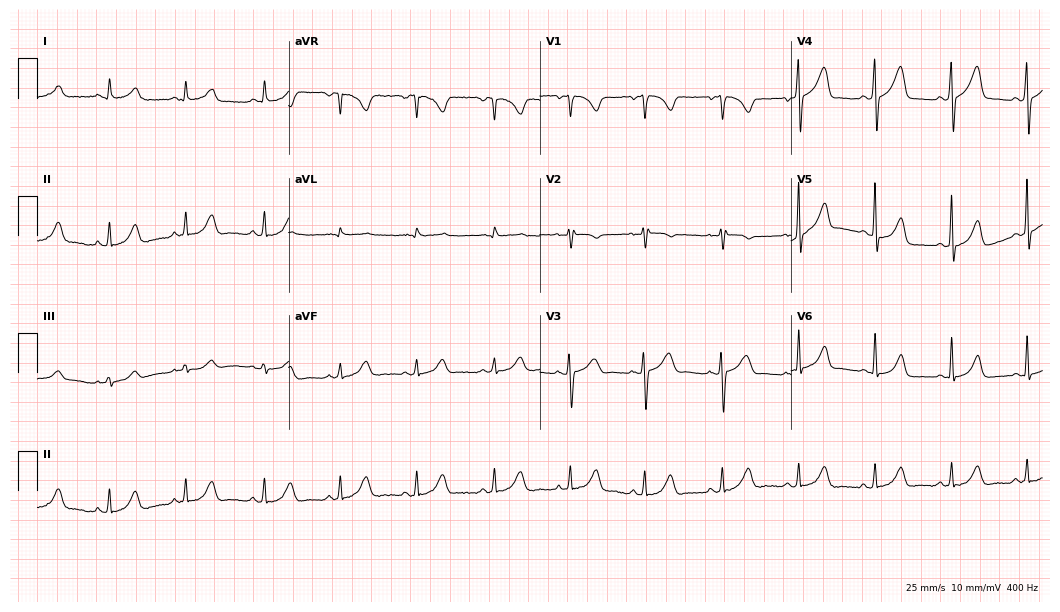
12-lead ECG from a 47-year-old woman (10.2-second recording at 400 Hz). Recorded interpretation: within normal limits.